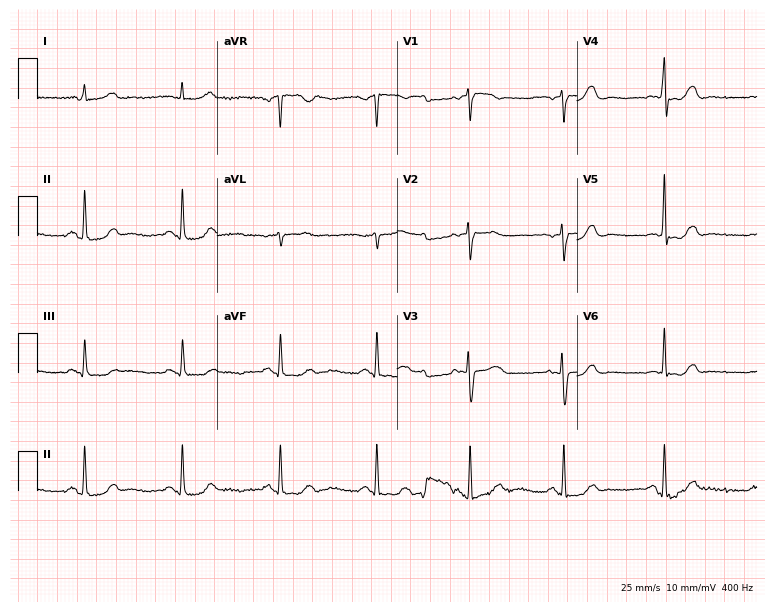
Standard 12-lead ECG recorded from a woman, 66 years old. Read as a normal ECG.